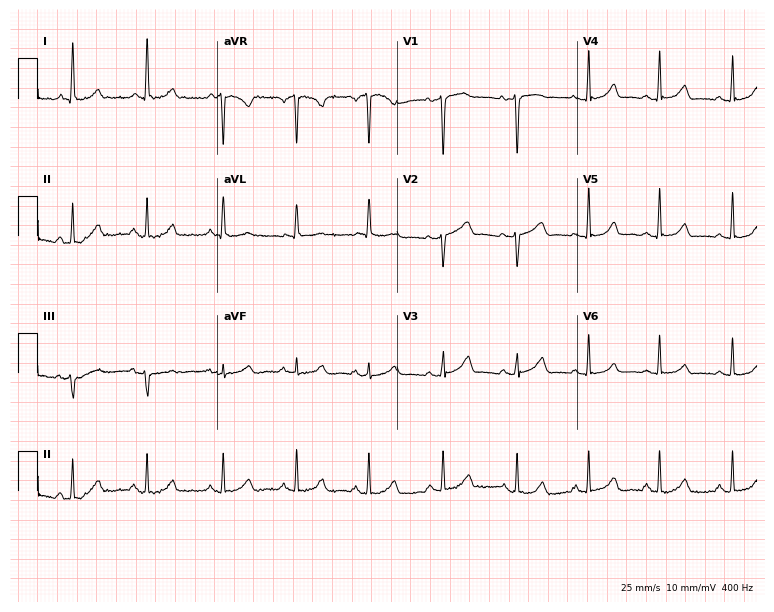
Electrocardiogram (7.3-second recording at 400 Hz), a 57-year-old woman. Overall reading on record: normal ECG.